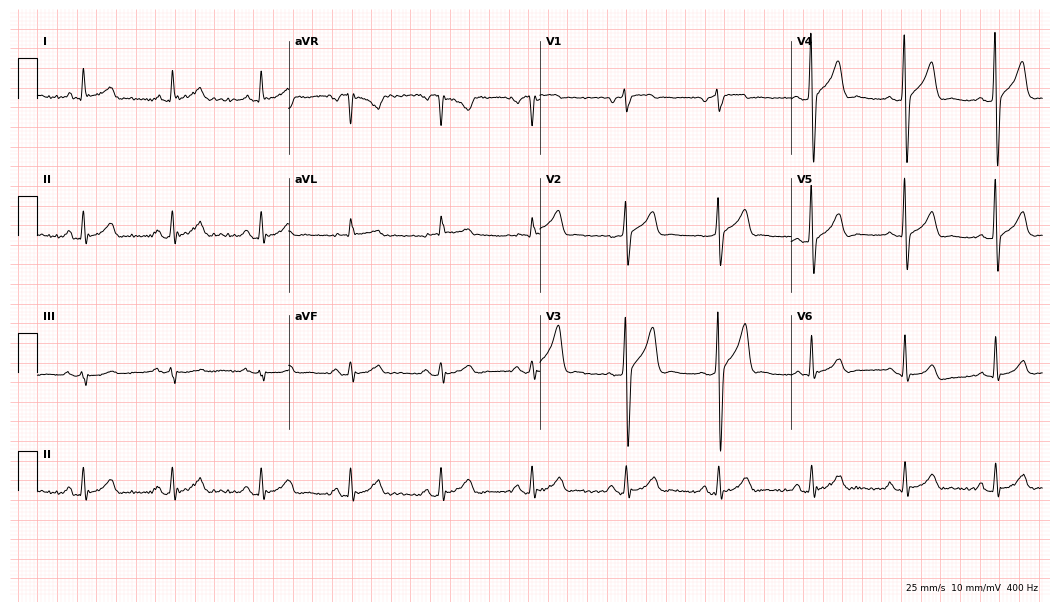
Electrocardiogram, a 77-year-old male patient. Overall reading on record: normal ECG.